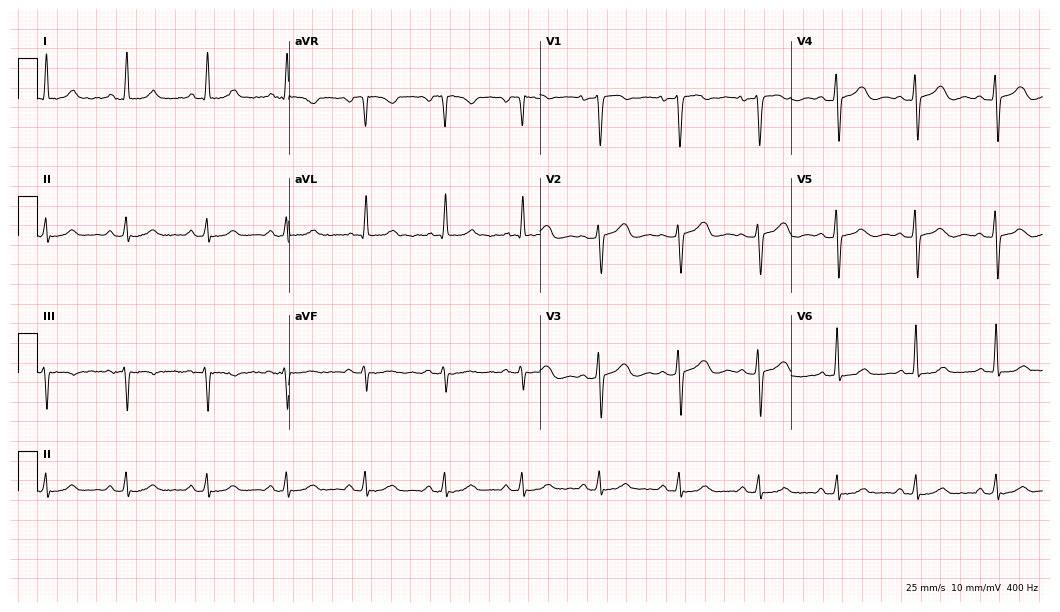
12-lead ECG (10.2-second recording at 400 Hz) from a female, 43 years old. Labelled as a normal ECG.